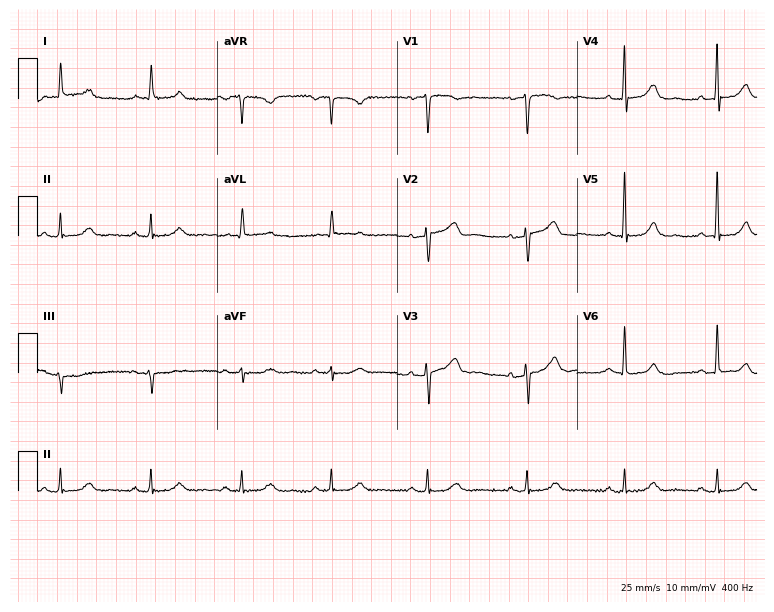
12-lead ECG from a female patient, 84 years old. Labelled as a normal ECG.